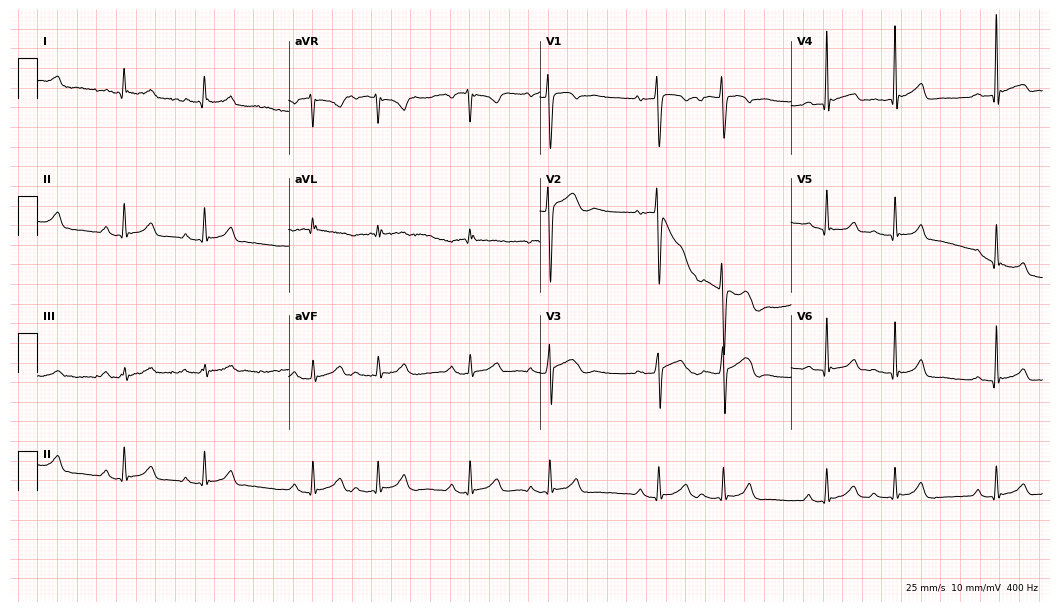
Electrocardiogram, a 17-year-old man. Of the six screened findings (first-degree AV block, right bundle branch block, left bundle branch block, sinus bradycardia, atrial fibrillation, sinus tachycardia), none is recorded.